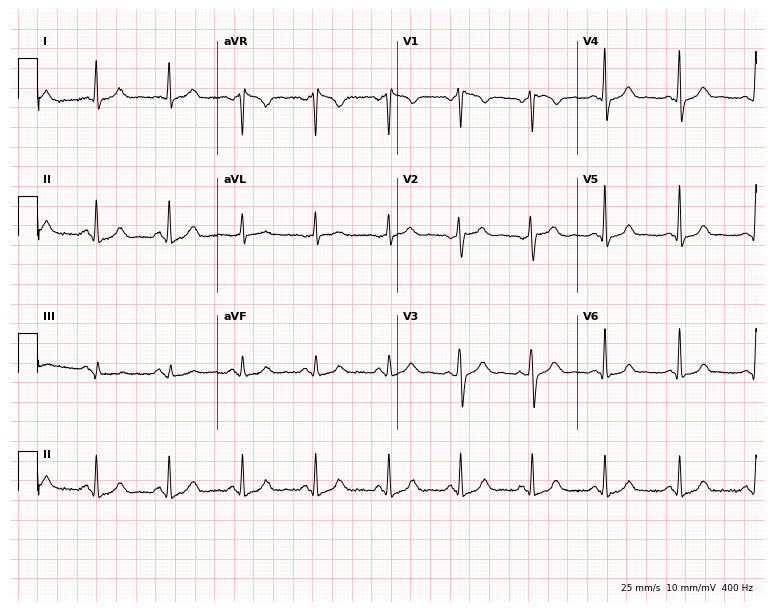
Electrocardiogram, a 36-year-old female. Of the six screened findings (first-degree AV block, right bundle branch block (RBBB), left bundle branch block (LBBB), sinus bradycardia, atrial fibrillation (AF), sinus tachycardia), none is recorded.